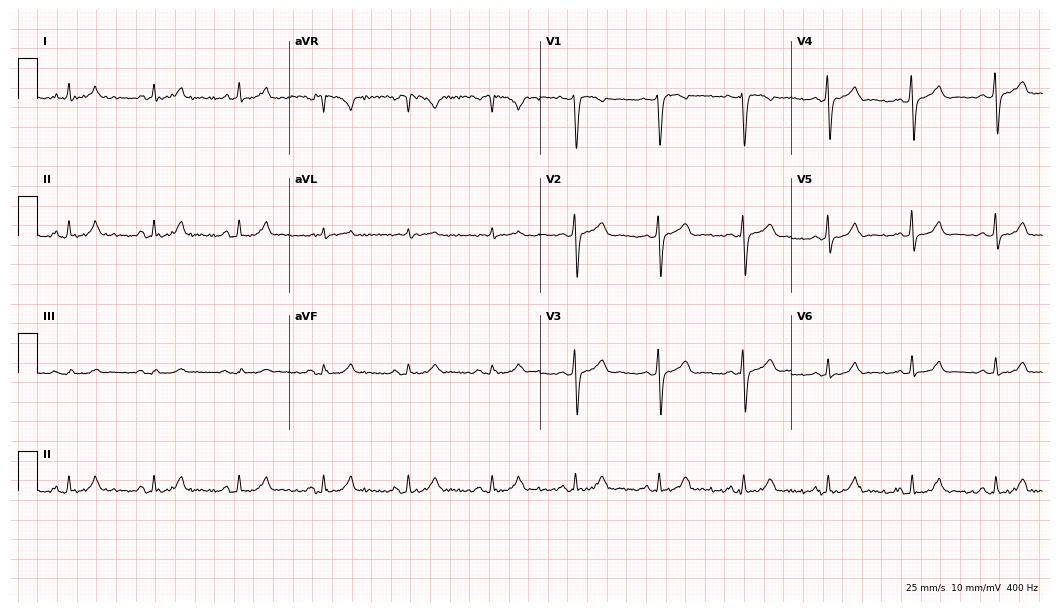
Standard 12-lead ECG recorded from a 57-year-old male patient. None of these six findings is recorded: first-degree AV block, right bundle branch block (RBBB), left bundle branch block (LBBB), sinus bradycardia, atrial fibrillation (AF), sinus tachycardia.